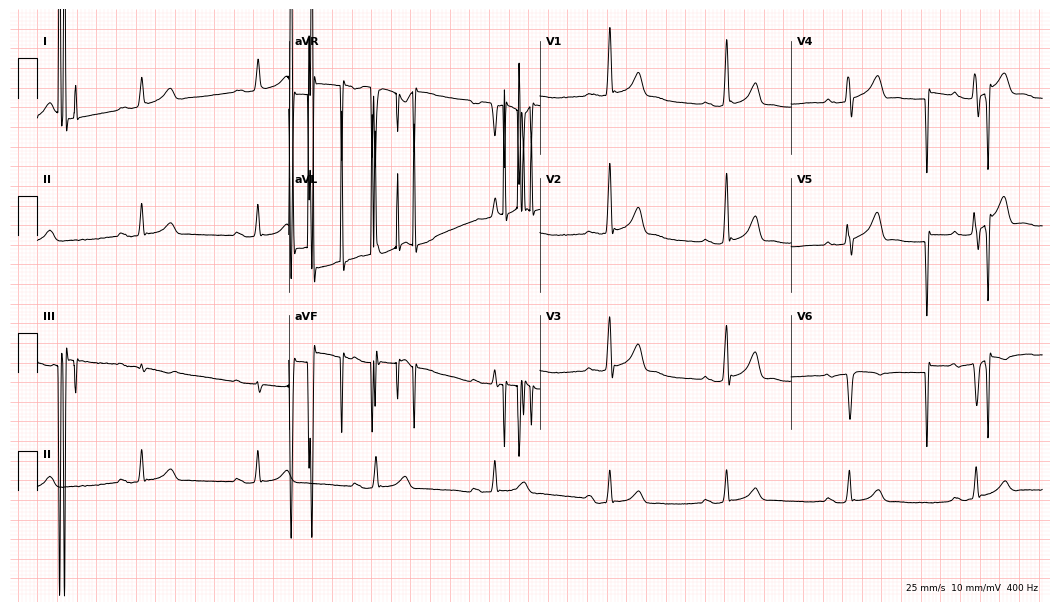
ECG (10.2-second recording at 400 Hz) — a 41-year-old female patient. Screened for six findings — first-degree AV block, right bundle branch block, left bundle branch block, sinus bradycardia, atrial fibrillation, sinus tachycardia — none is recorded.